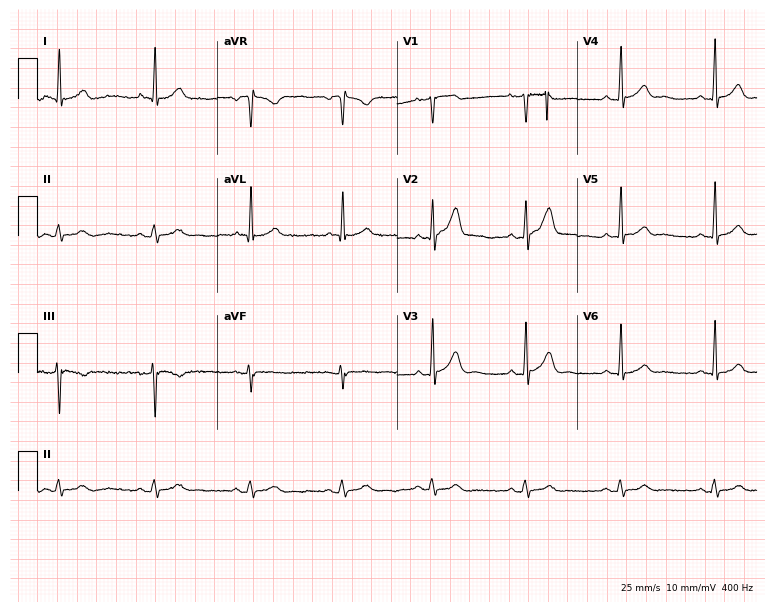
Standard 12-lead ECG recorded from a 52-year-old man (7.3-second recording at 400 Hz). None of these six findings is recorded: first-degree AV block, right bundle branch block (RBBB), left bundle branch block (LBBB), sinus bradycardia, atrial fibrillation (AF), sinus tachycardia.